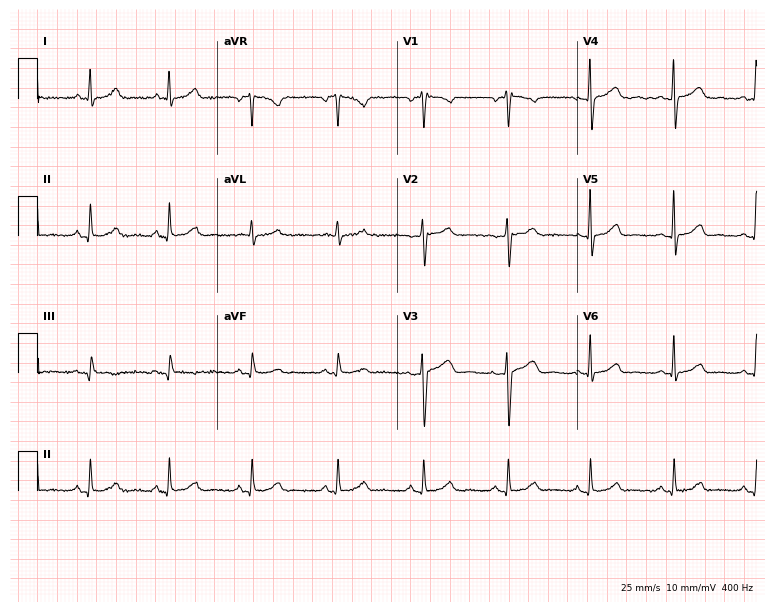
12-lead ECG from a woman, 39 years old. Recorded interpretation: within normal limits.